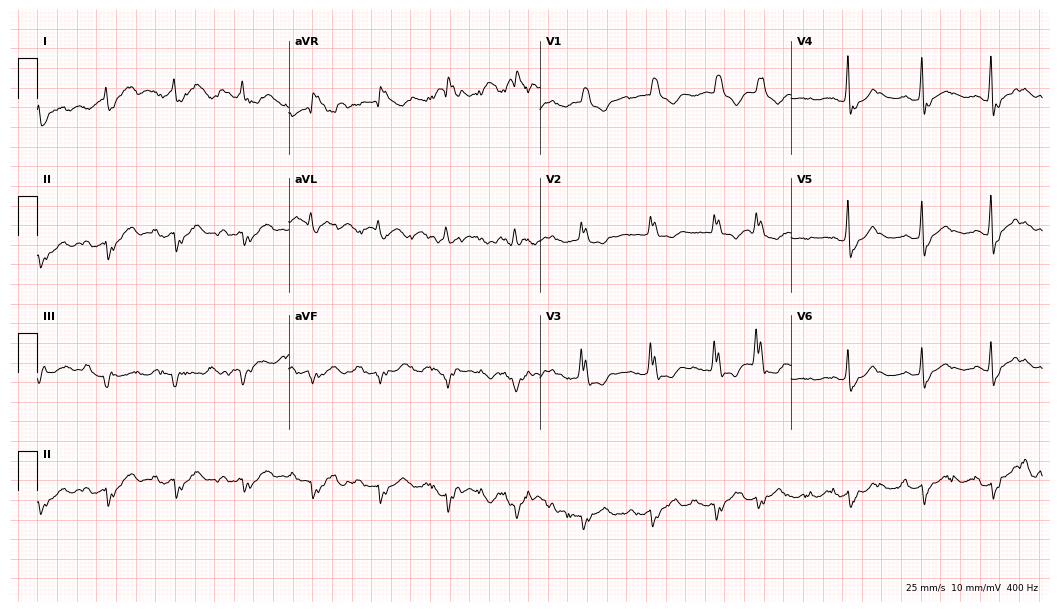
12-lead ECG (10.2-second recording at 400 Hz) from a 79-year-old male patient. Findings include first-degree AV block, right bundle branch block.